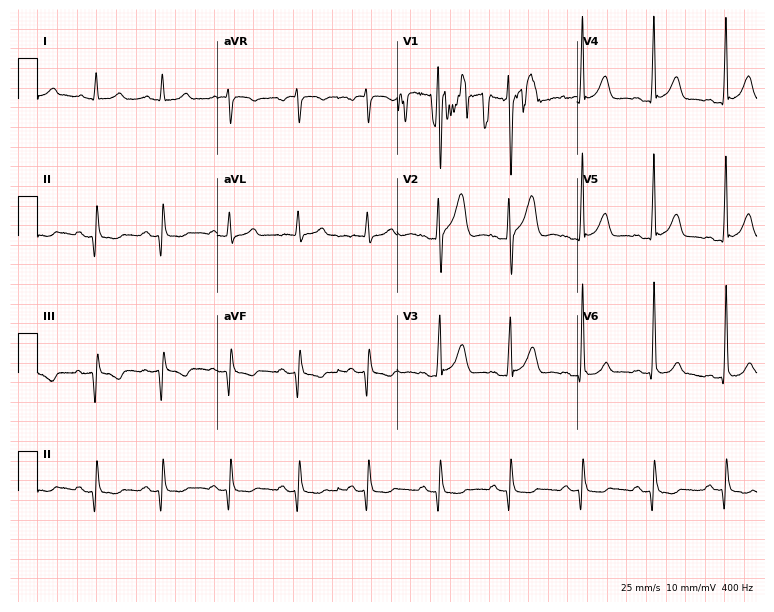
Electrocardiogram, a male, 60 years old. Of the six screened findings (first-degree AV block, right bundle branch block, left bundle branch block, sinus bradycardia, atrial fibrillation, sinus tachycardia), none is recorded.